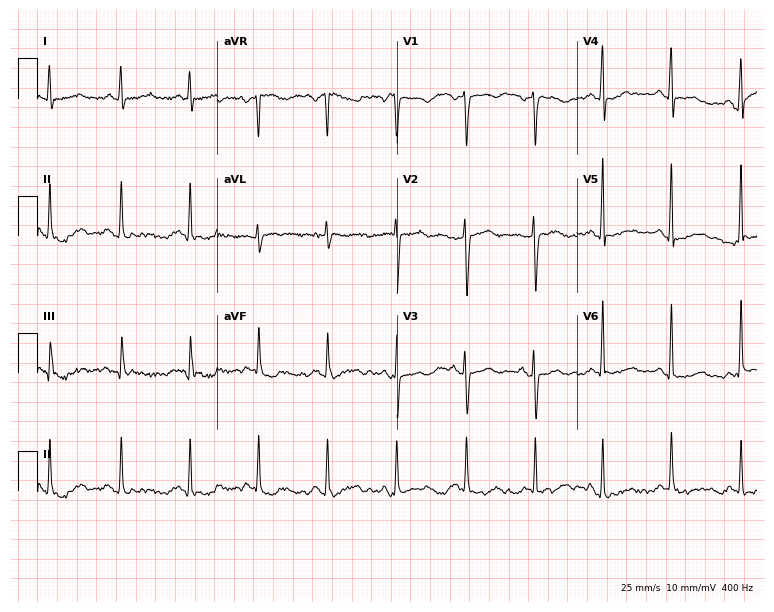
ECG (7.3-second recording at 400 Hz) — a woman, 46 years old. Labelled as a normal ECG.